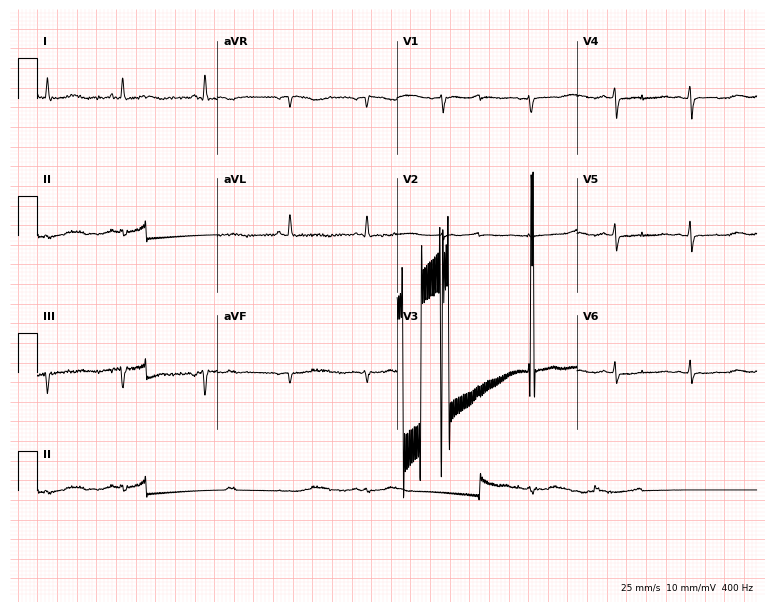
Standard 12-lead ECG recorded from a 70-year-old woman. None of these six findings is recorded: first-degree AV block, right bundle branch block (RBBB), left bundle branch block (LBBB), sinus bradycardia, atrial fibrillation (AF), sinus tachycardia. Other findings, if any, are not listed.